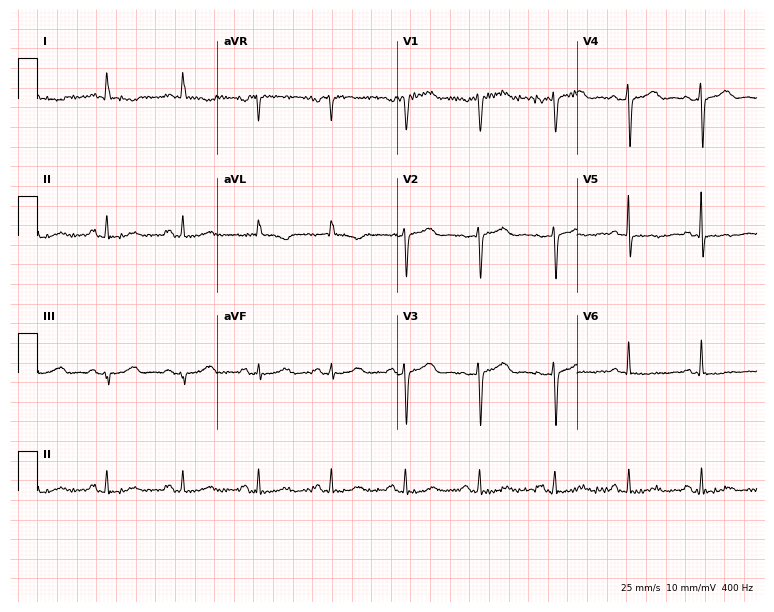
12-lead ECG from a 58-year-old woman. Screened for six findings — first-degree AV block, right bundle branch block, left bundle branch block, sinus bradycardia, atrial fibrillation, sinus tachycardia — none is recorded. Only these six findings were labelled.